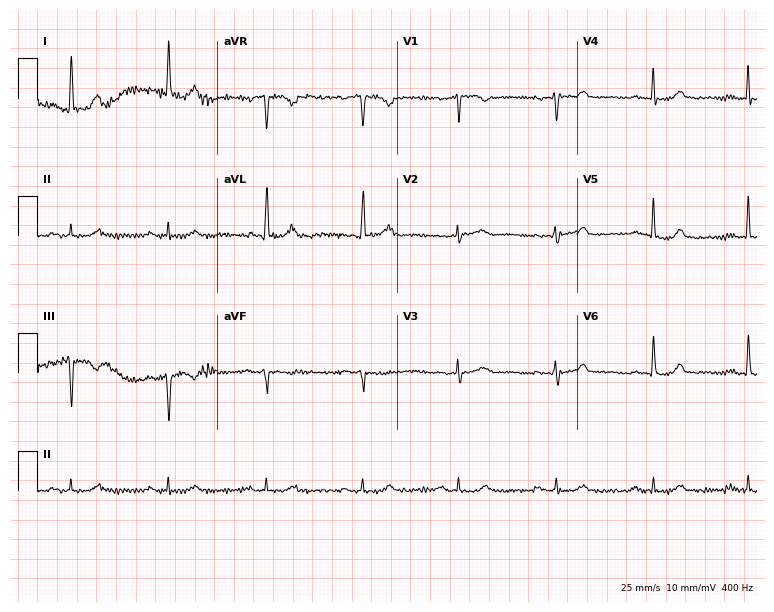
Resting 12-lead electrocardiogram (7.3-second recording at 400 Hz). Patient: a 67-year-old female. None of these six findings is recorded: first-degree AV block, right bundle branch block, left bundle branch block, sinus bradycardia, atrial fibrillation, sinus tachycardia.